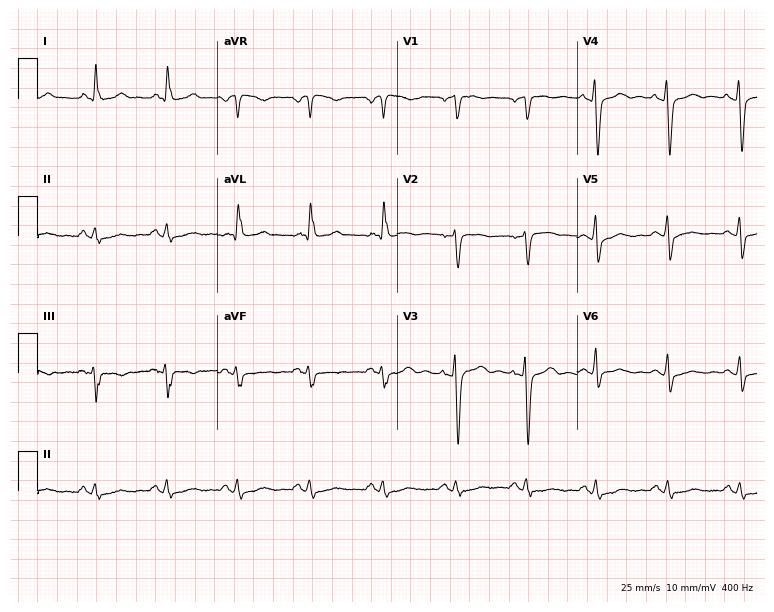
12-lead ECG from a 50-year-old woman (7.3-second recording at 400 Hz). Recorded interpretation: within normal limits.